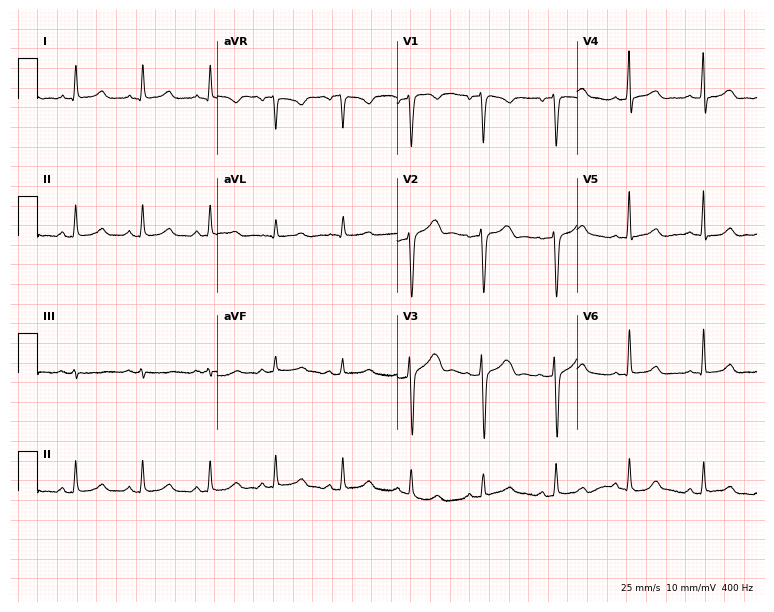
Resting 12-lead electrocardiogram. Patient: a male, 26 years old. Read as a normal ECG.